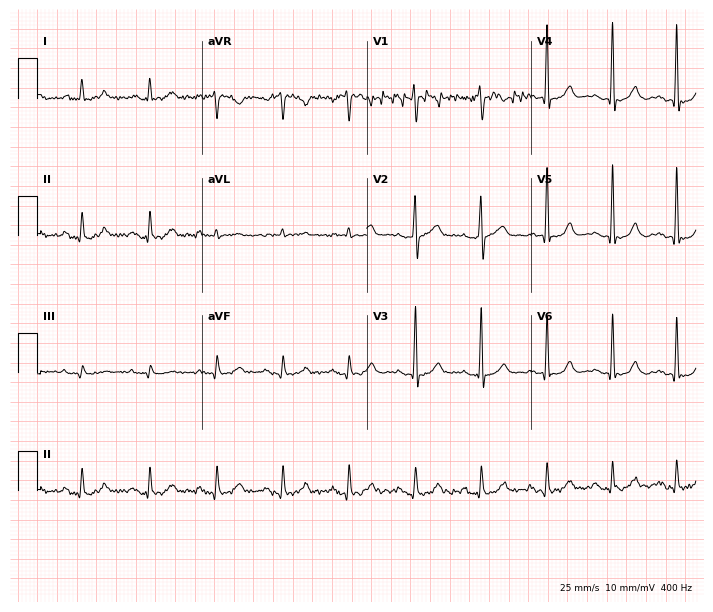
ECG — a 64-year-old man. Screened for six findings — first-degree AV block, right bundle branch block (RBBB), left bundle branch block (LBBB), sinus bradycardia, atrial fibrillation (AF), sinus tachycardia — none is recorded. Only these six findings were labelled.